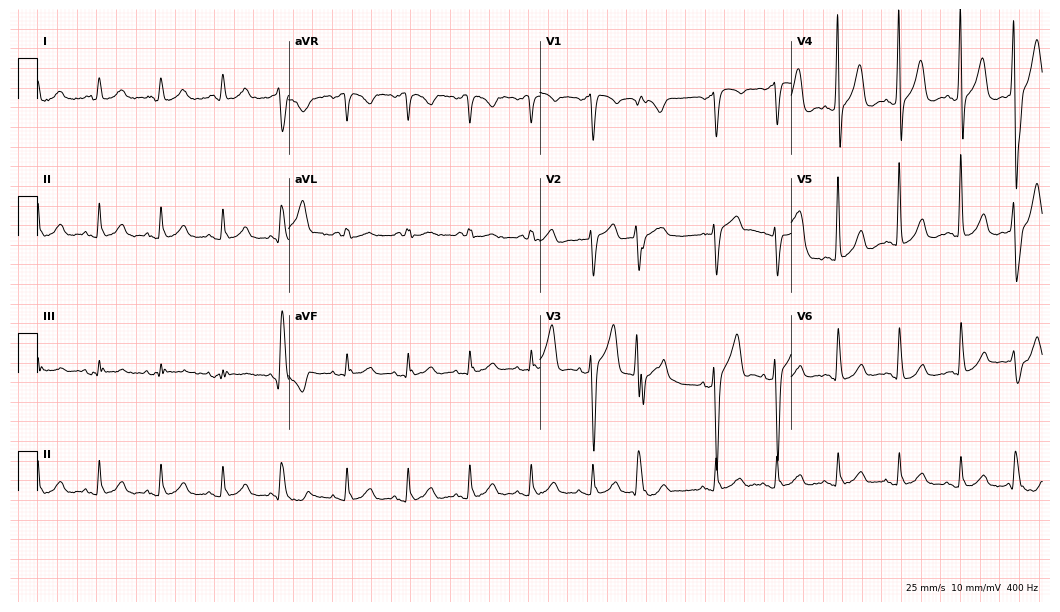
12-lead ECG (10.2-second recording at 400 Hz) from a 50-year-old male. Screened for six findings — first-degree AV block, right bundle branch block (RBBB), left bundle branch block (LBBB), sinus bradycardia, atrial fibrillation (AF), sinus tachycardia — none is recorded. Other findings, if any, are not listed.